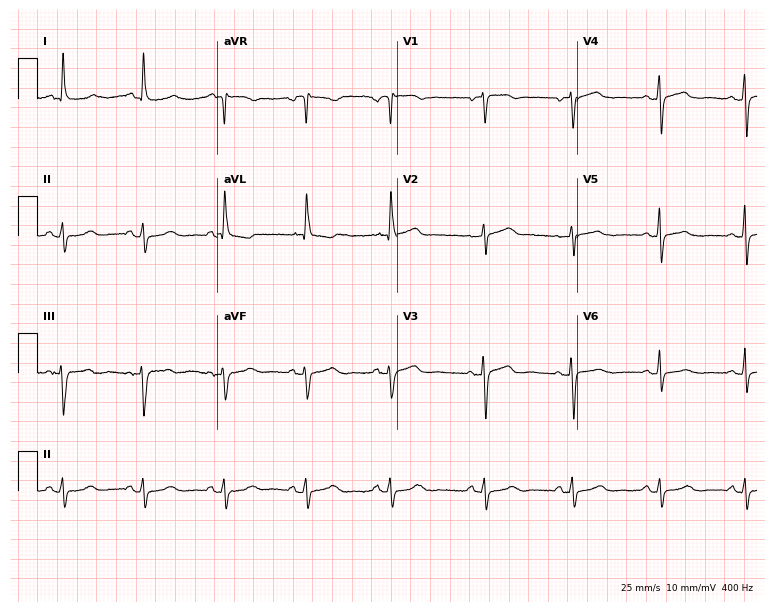
12-lead ECG from a 74-year-old woman. No first-degree AV block, right bundle branch block (RBBB), left bundle branch block (LBBB), sinus bradycardia, atrial fibrillation (AF) or sinus tachycardia recorded for this tracing. Other findings, if any, are not listed.